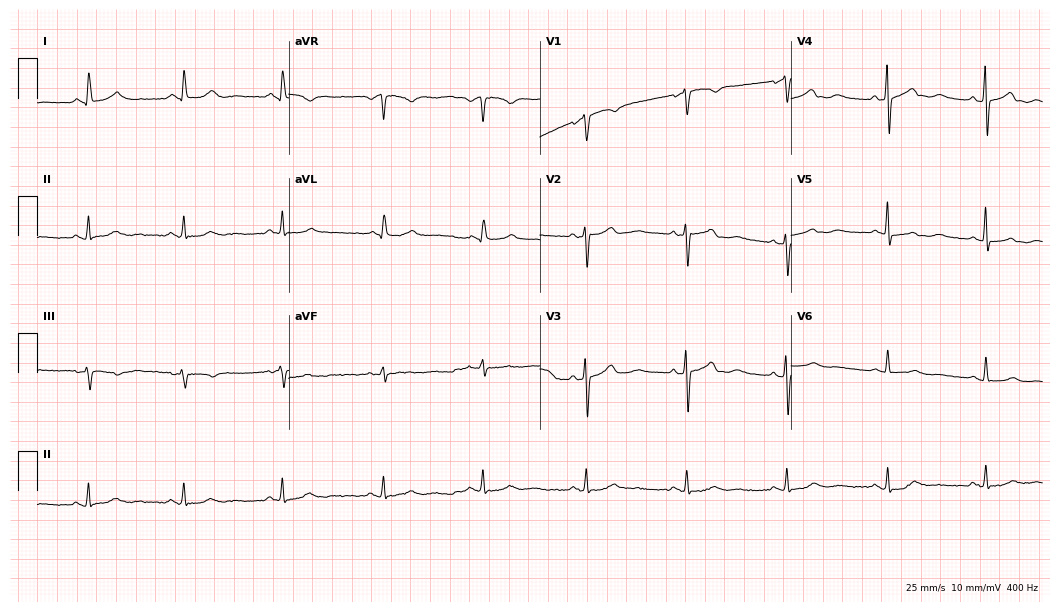
12-lead ECG from a woman, 63 years old. Recorded interpretation: within normal limits.